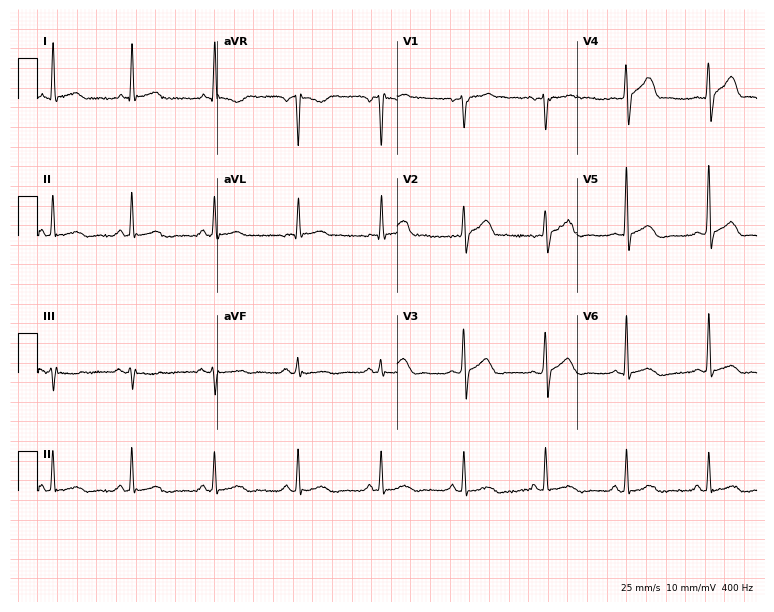
Resting 12-lead electrocardiogram. Patient: a male, 71 years old. Read as a normal ECG.